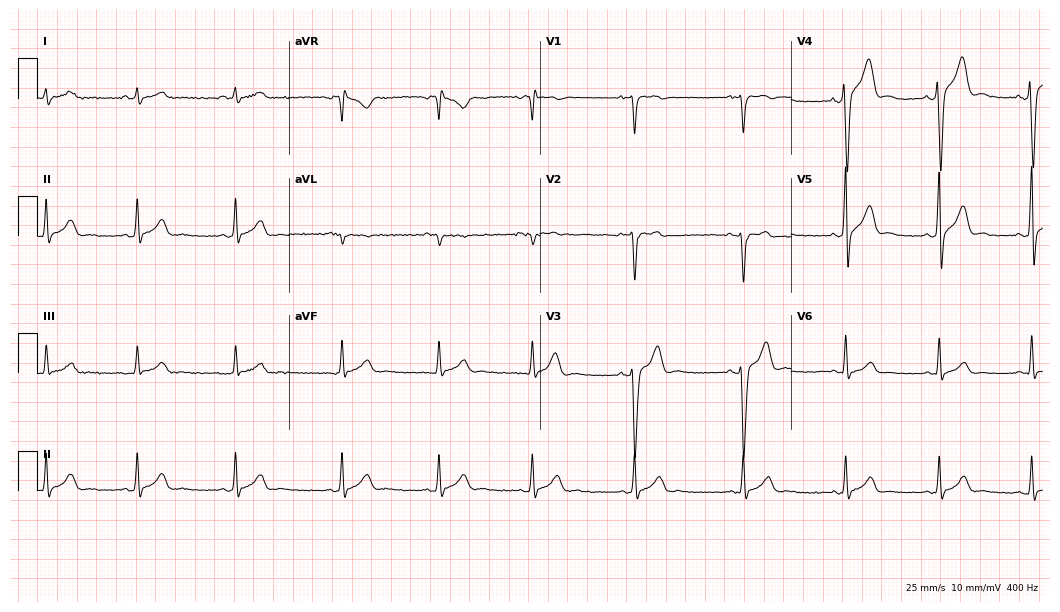
12-lead ECG from a 22-year-old male. Labelled as a normal ECG.